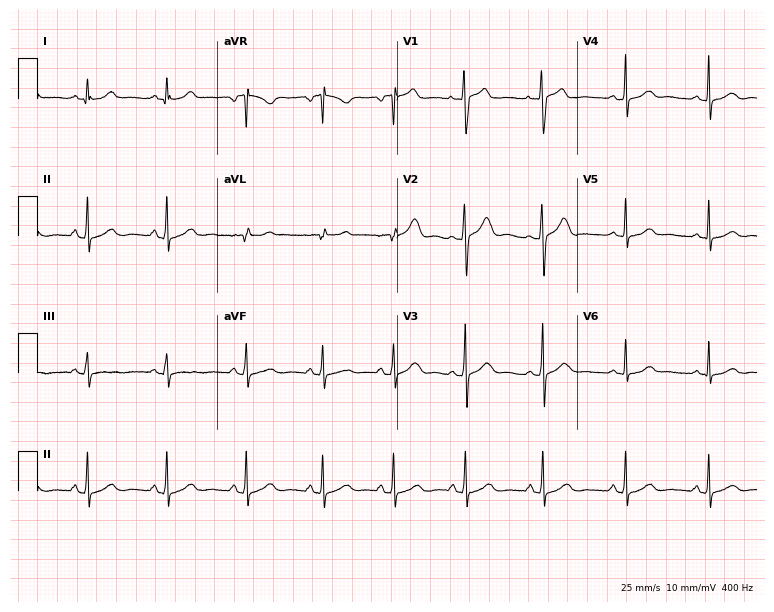
Resting 12-lead electrocardiogram (7.3-second recording at 400 Hz). Patient: a 20-year-old woman. Read as a normal ECG.